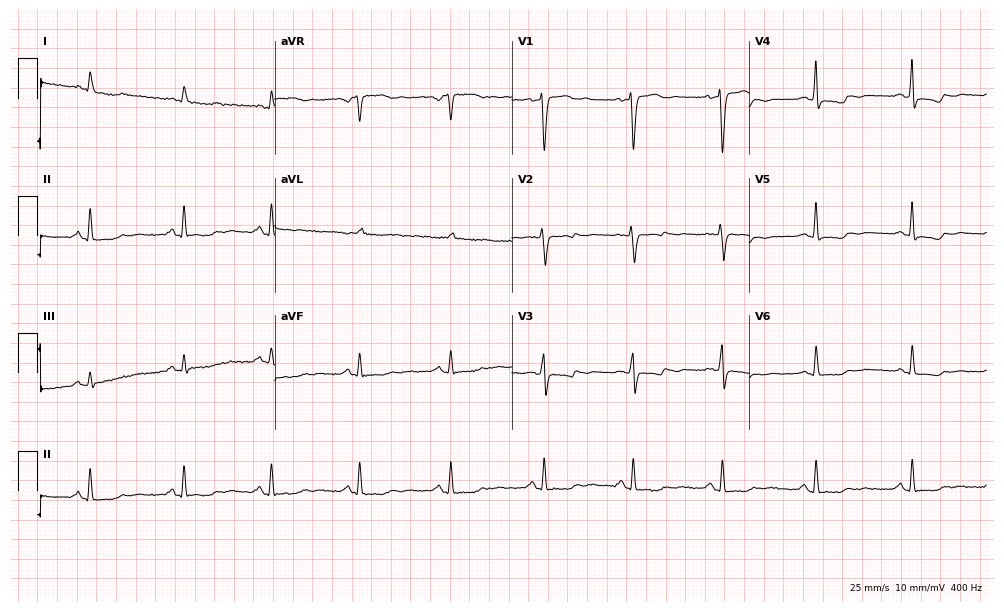
12-lead ECG from a 46-year-old woman. Labelled as a normal ECG.